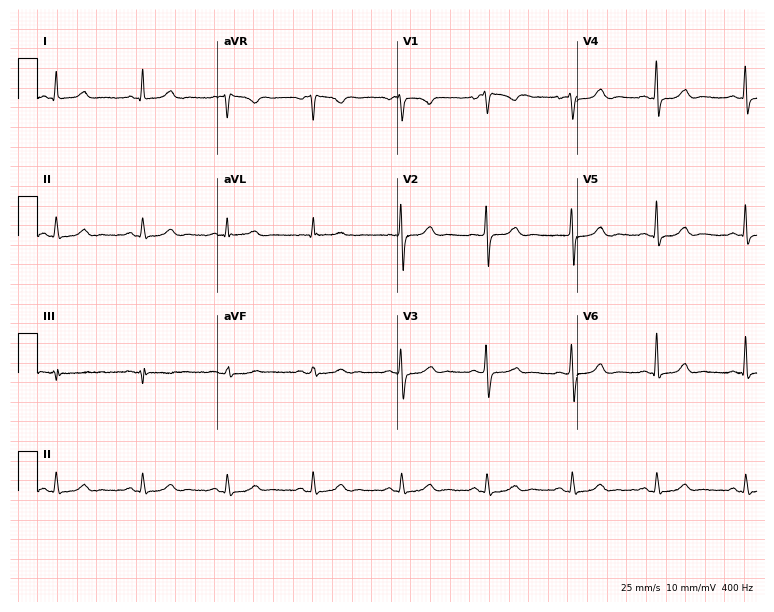
Resting 12-lead electrocardiogram (7.3-second recording at 400 Hz). Patient: a 40-year-old female. Read as a normal ECG.